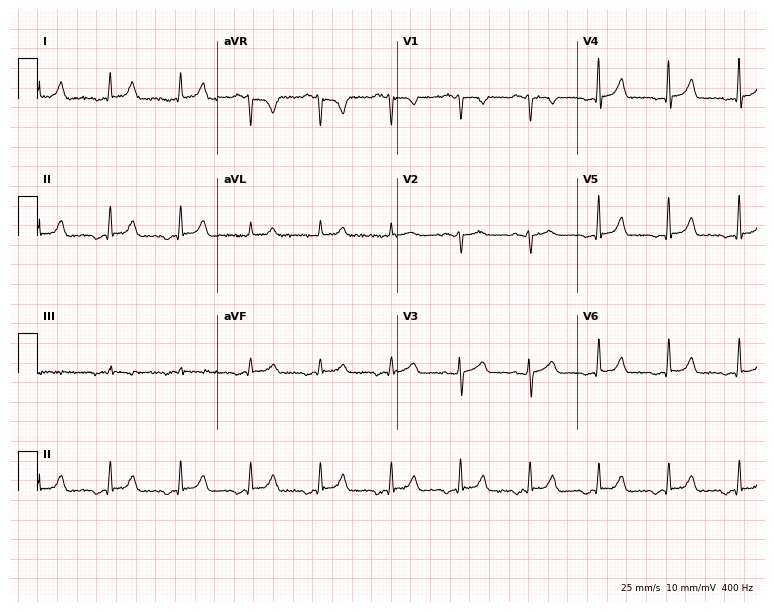
12-lead ECG from a woman, 67 years old (7.3-second recording at 400 Hz). No first-degree AV block, right bundle branch block, left bundle branch block, sinus bradycardia, atrial fibrillation or sinus tachycardia recorded for this tracing. Only these six findings were labelled.